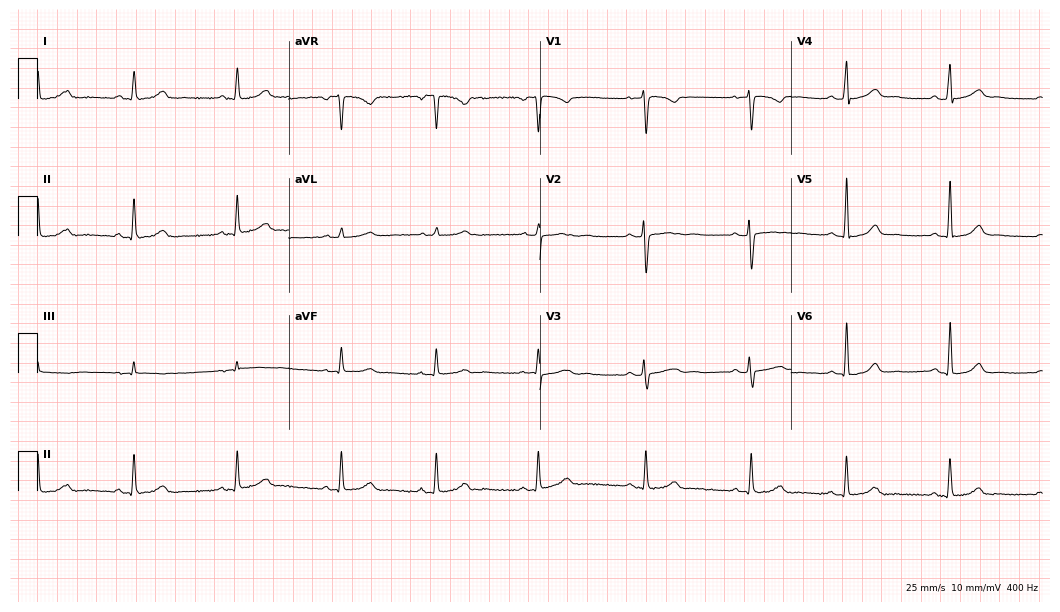
Resting 12-lead electrocardiogram. Patient: a woman, 29 years old. None of these six findings is recorded: first-degree AV block, right bundle branch block (RBBB), left bundle branch block (LBBB), sinus bradycardia, atrial fibrillation (AF), sinus tachycardia. Other findings, if any, are not listed.